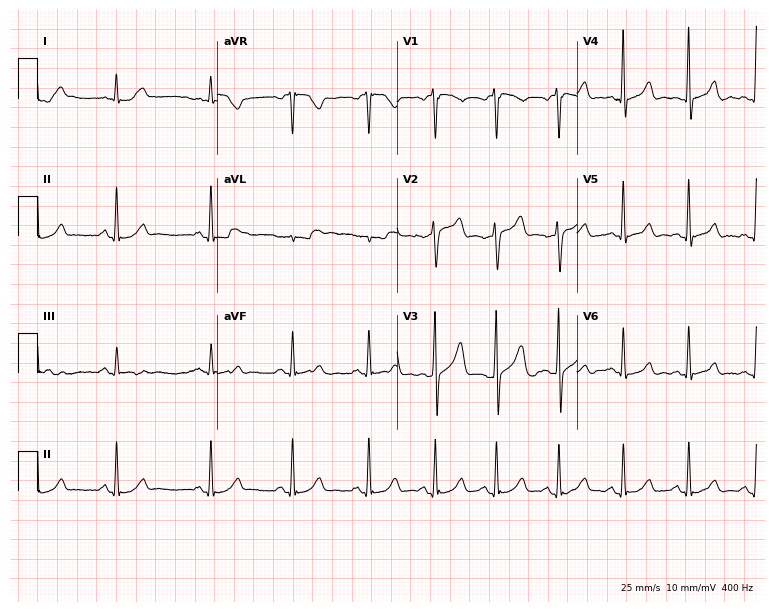
12-lead ECG from a male, 39 years old. Labelled as a normal ECG.